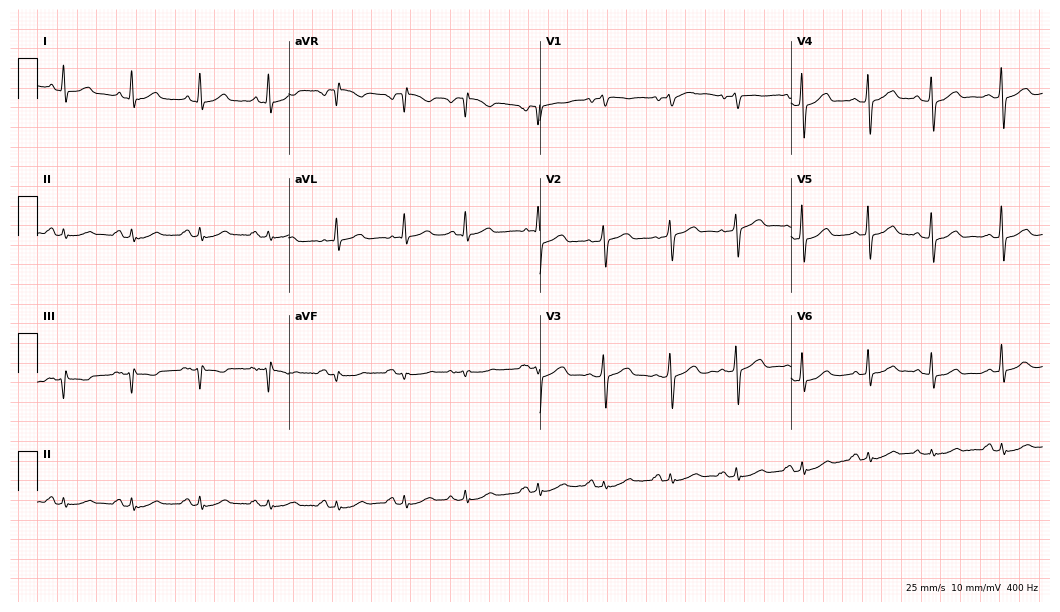
Electrocardiogram (10.2-second recording at 400 Hz), a 74-year-old male patient. Overall reading on record: normal ECG.